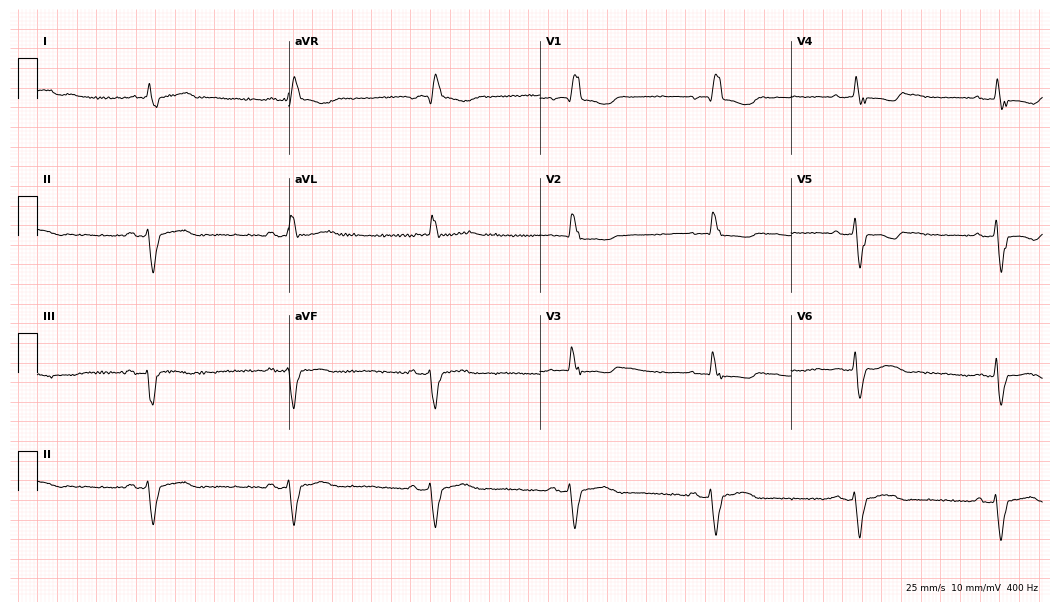
ECG (10.2-second recording at 400 Hz) — an 84-year-old female. Findings include right bundle branch block, sinus bradycardia (a sinus rate of 50 beats per minute or less).